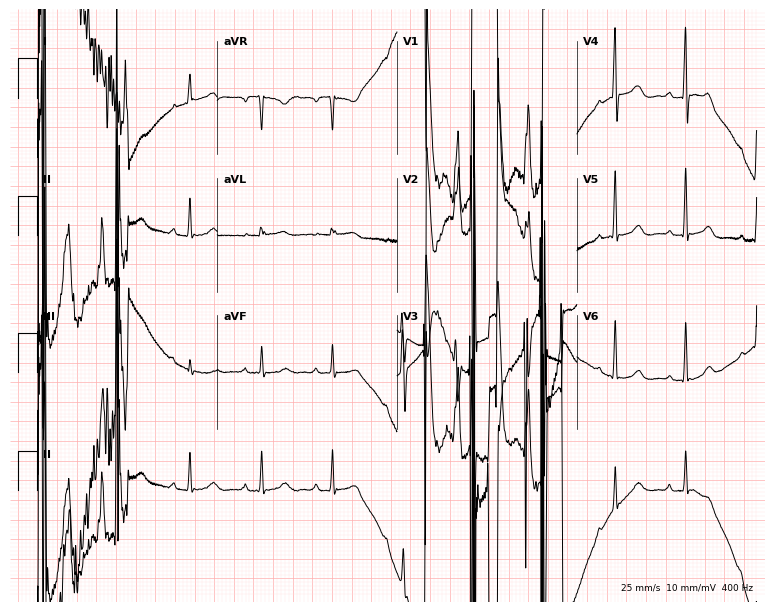
ECG — a 38-year-old male. Screened for six findings — first-degree AV block, right bundle branch block, left bundle branch block, sinus bradycardia, atrial fibrillation, sinus tachycardia — none is recorded. Only these six findings were labelled.